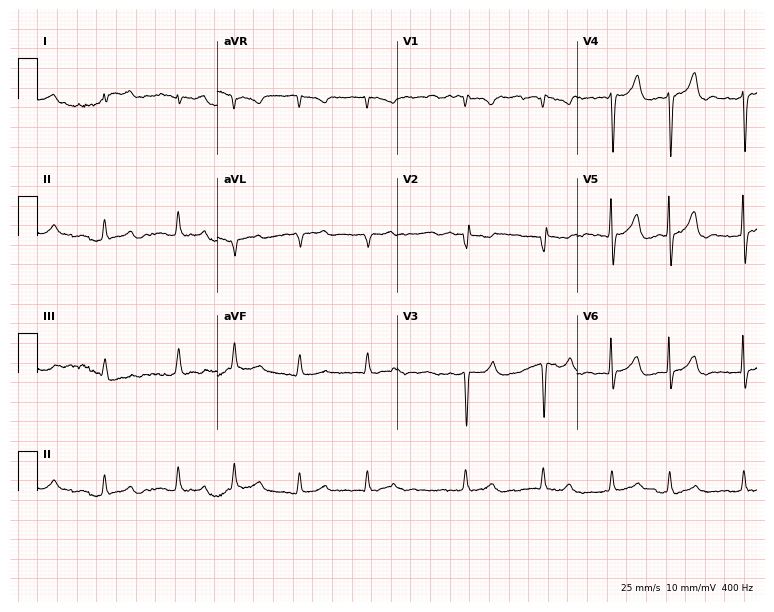
ECG — a woman, 71 years old. Findings include atrial fibrillation (AF).